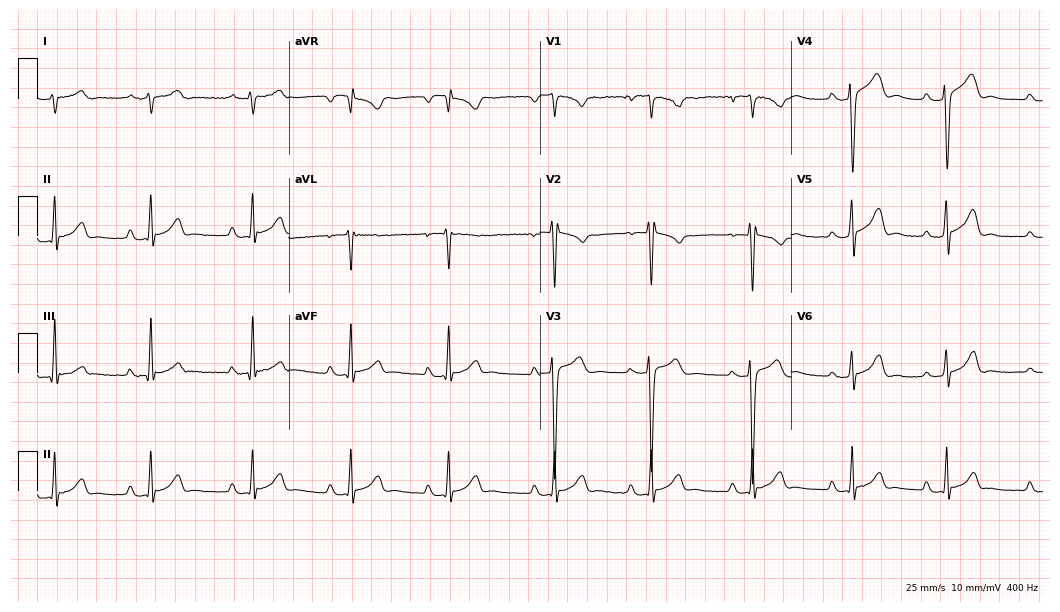
ECG (10.2-second recording at 400 Hz) — a male, 21 years old. Labelled as a normal ECG.